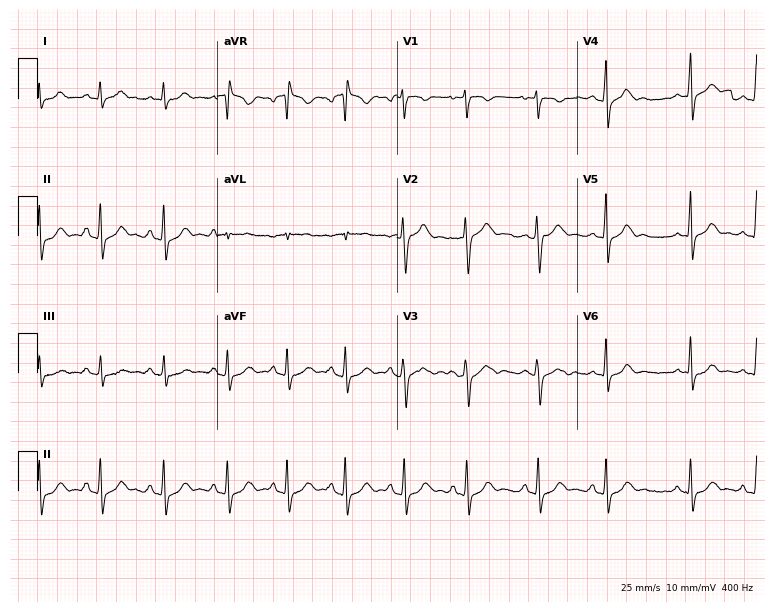
ECG (7.3-second recording at 400 Hz) — a 22-year-old female patient. Screened for six findings — first-degree AV block, right bundle branch block (RBBB), left bundle branch block (LBBB), sinus bradycardia, atrial fibrillation (AF), sinus tachycardia — none is recorded. Findings outside these six are not listed.